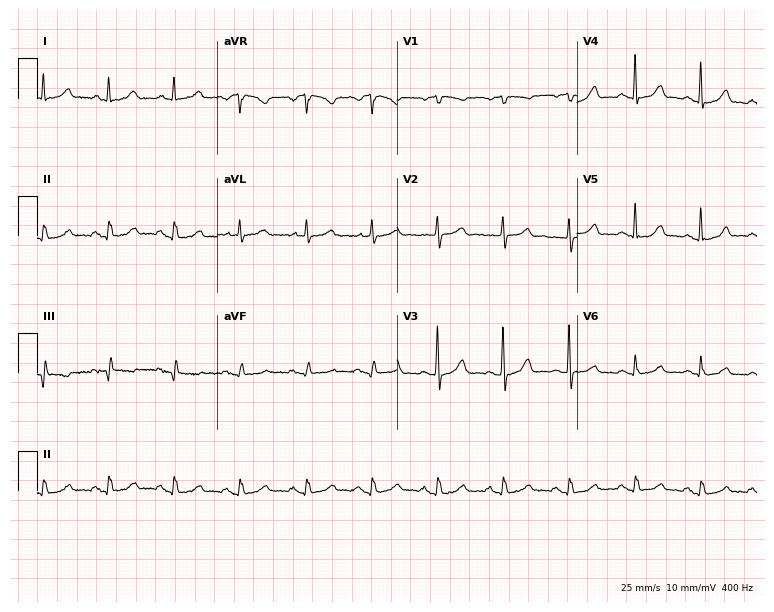
Standard 12-lead ECG recorded from an 81-year-old female patient. Read as a normal ECG.